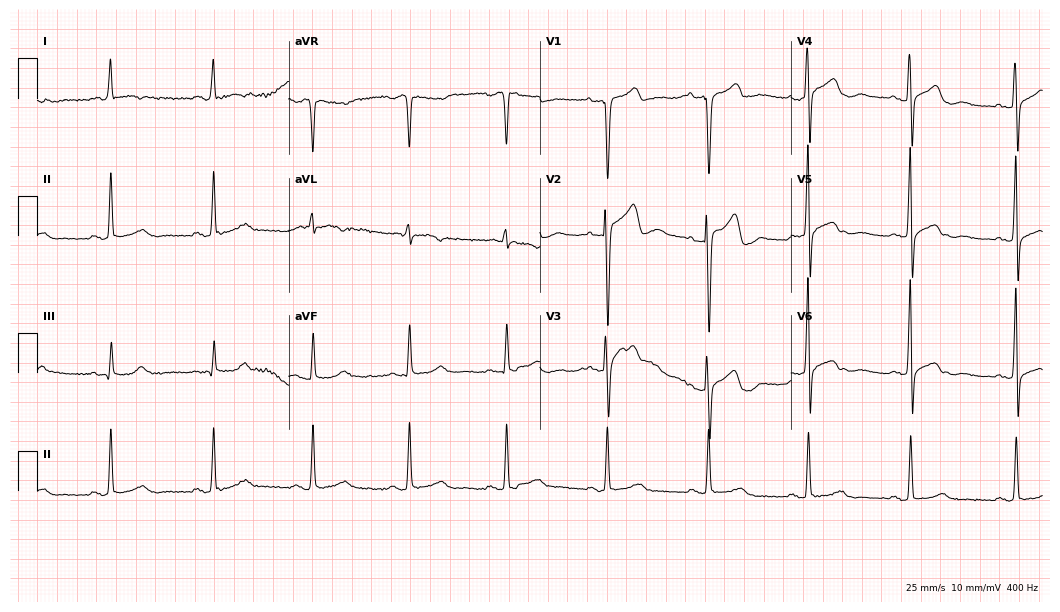
Standard 12-lead ECG recorded from a 74-year-old man (10.2-second recording at 400 Hz). None of these six findings is recorded: first-degree AV block, right bundle branch block (RBBB), left bundle branch block (LBBB), sinus bradycardia, atrial fibrillation (AF), sinus tachycardia. Other findings, if any, are not listed.